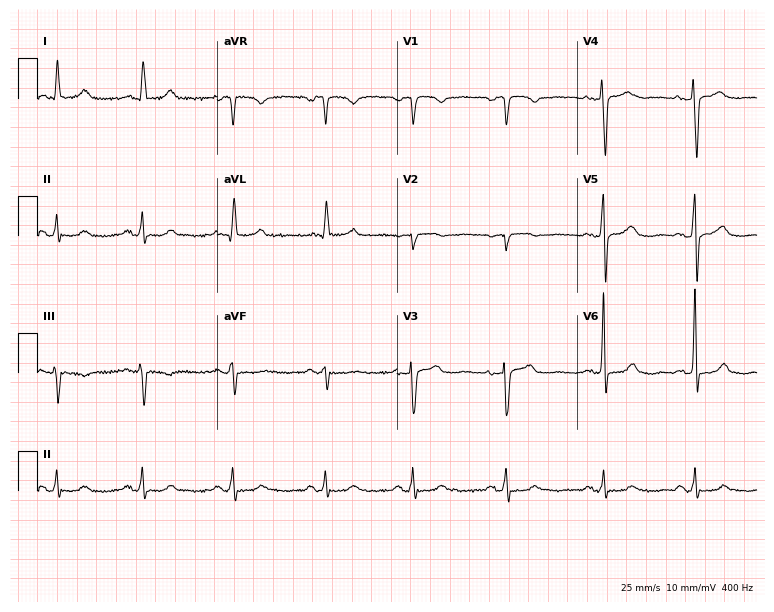
12-lead ECG (7.3-second recording at 400 Hz) from a female patient, 58 years old. Screened for six findings — first-degree AV block, right bundle branch block, left bundle branch block, sinus bradycardia, atrial fibrillation, sinus tachycardia — none is recorded.